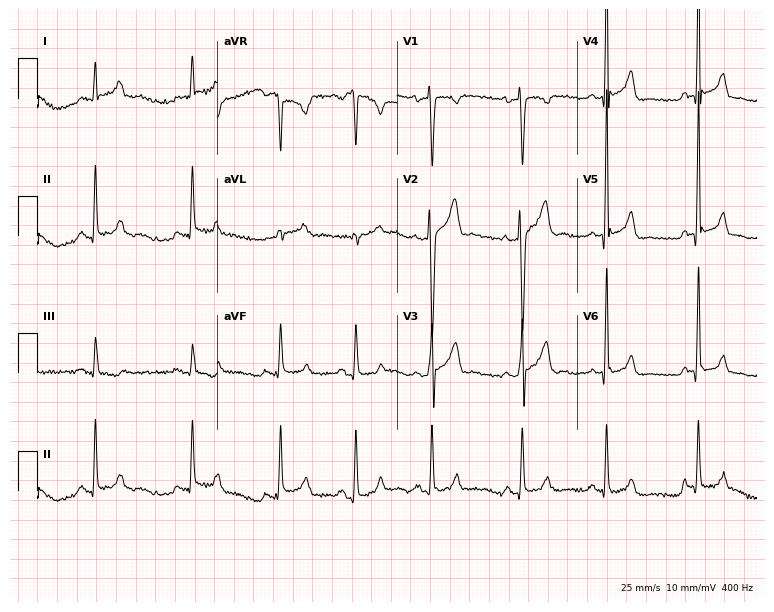
ECG — a 42-year-old male patient. Labelled as a normal ECG.